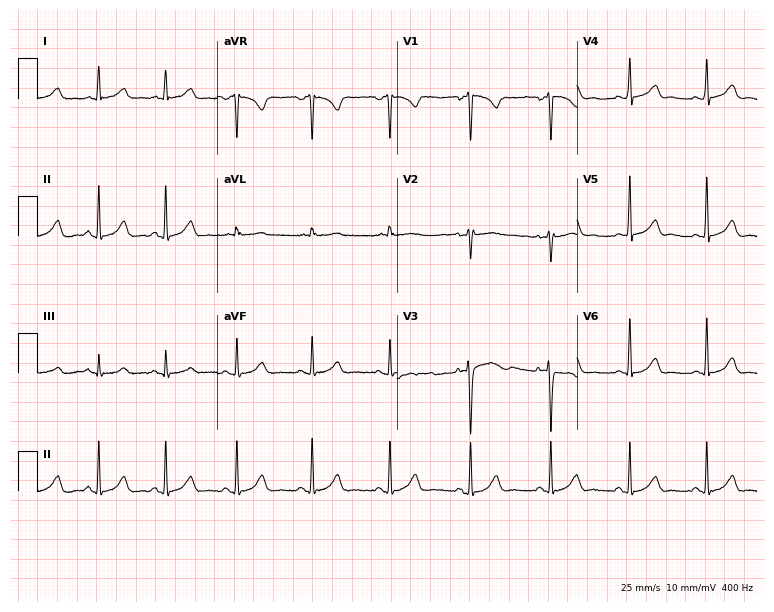
12-lead ECG from a female patient, 46 years old. Labelled as a normal ECG.